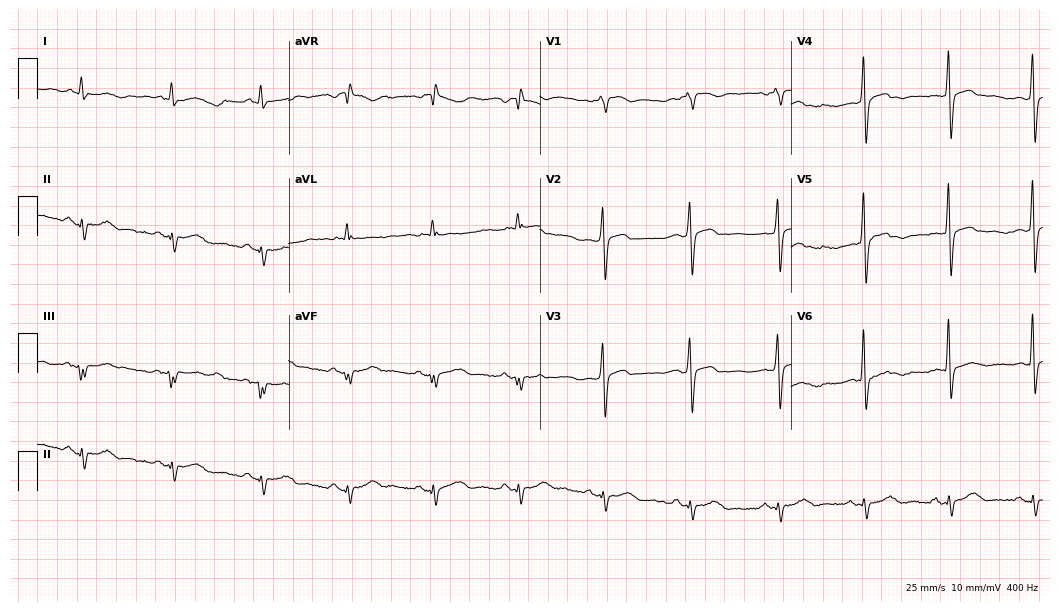
ECG (10.2-second recording at 400 Hz) — a 74-year-old female patient. Screened for six findings — first-degree AV block, right bundle branch block, left bundle branch block, sinus bradycardia, atrial fibrillation, sinus tachycardia — none is recorded. Only these six findings were labelled.